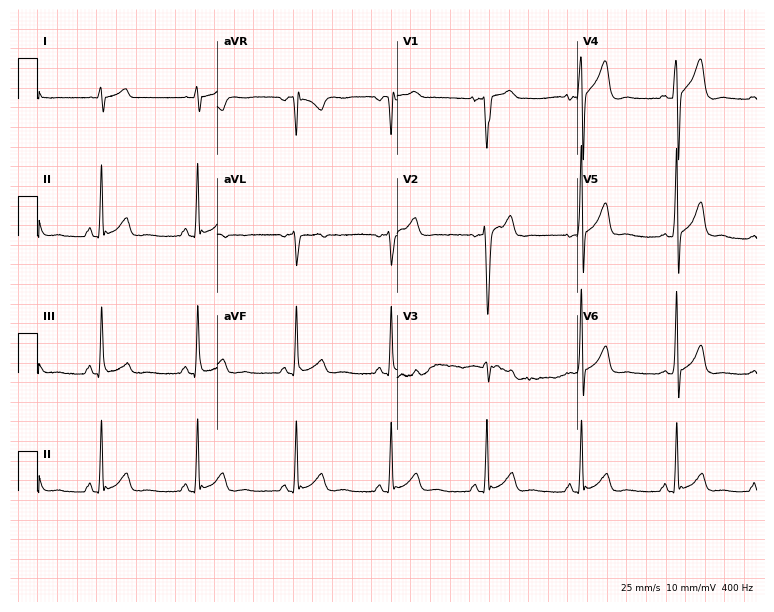
Electrocardiogram, a 20-year-old man. Of the six screened findings (first-degree AV block, right bundle branch block (RBBB), left bundle branch block (LBBB), sinus bradycardia, atrial fibrillation (AF), sinus tachycardia), none is recorded.